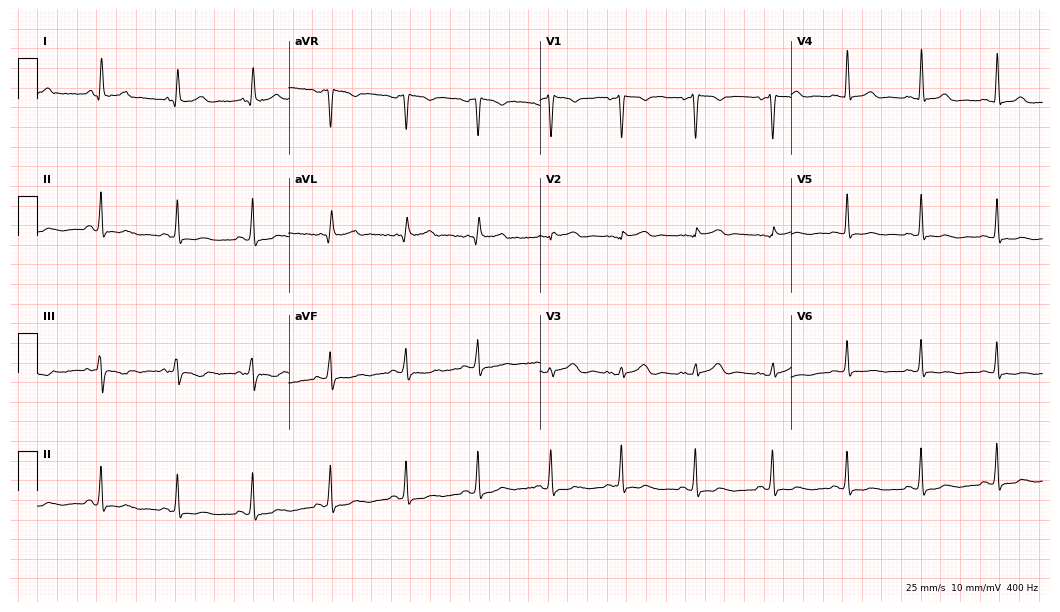
ECG — a woman, 38 years old. Labelled as a normal ECG.